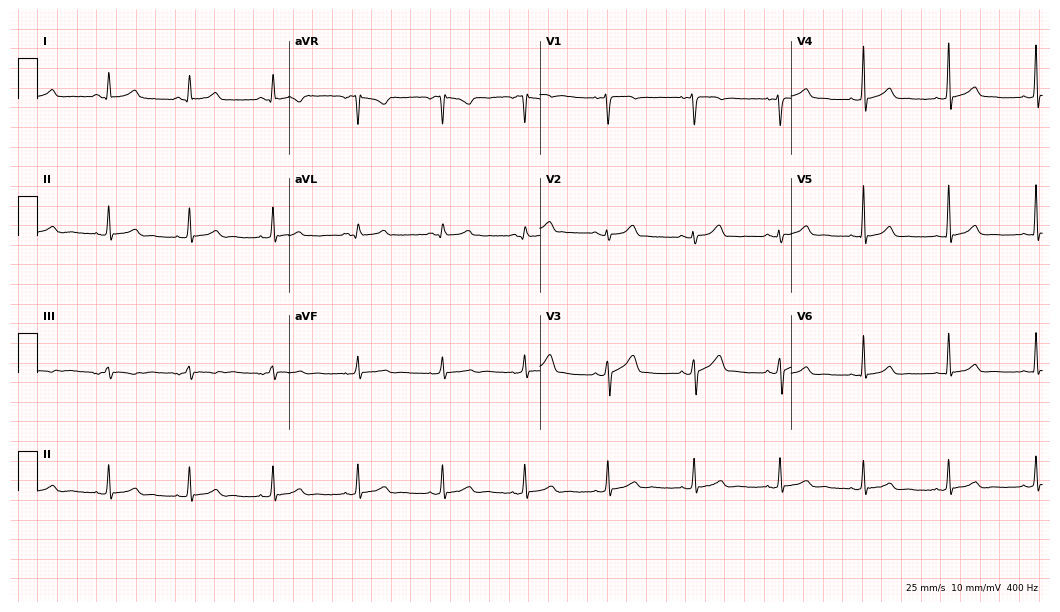
ECG — a 36-year-old woman. Labelled as a normal ECG.